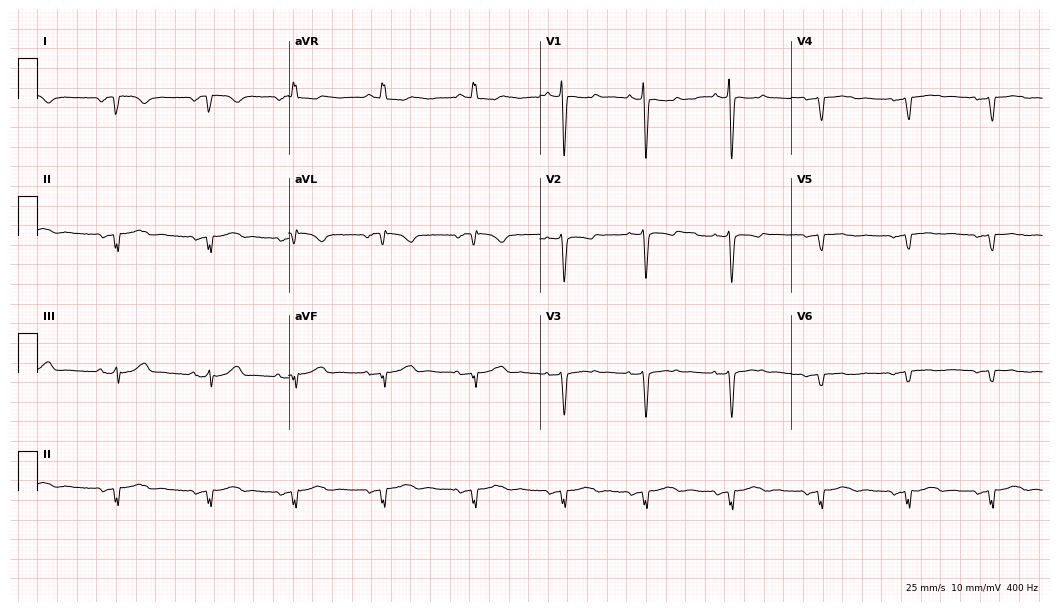
12-lead ECG from a female patient, 19 years old (10.2-second recording at 400 Hz). No first-degree AV block, right bundle branch block (RBBB), left bundle branch block (LBBB), sinus bradycardia, atrial fibrillation (AF) or sinus tachycardia recorded for this tracing. Only these six findings were labelled.